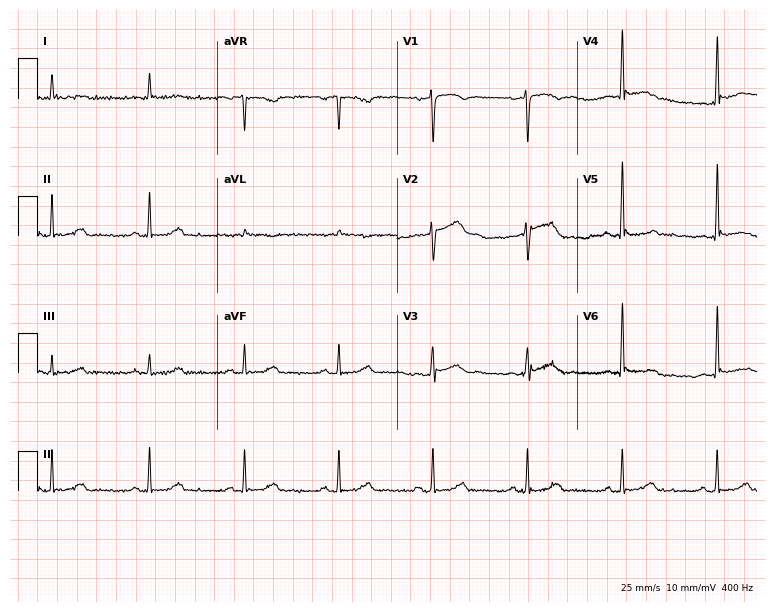
Standard 12-lead ECG recorded from a 79-year-old man. None of these six findings is recorded: first-degree AV block, right bundle branch block (RBBB), left bundle branch block (LBBB), sinus bradycardia, atrial fibrillation (AF), sinus tachycardia. Findings outside these six are not listed.